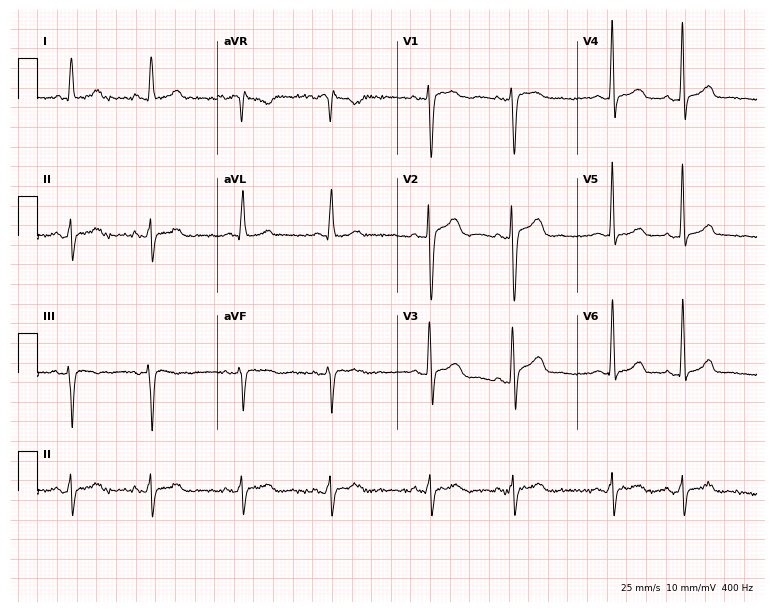
12-lead ECG from a 55-year-old female patient. No first-degree AV block, right bundle branch block, left bundle branch block, sinus bradycardia, atrial fibrillation or sinus tachycardia recorded for this tracing.